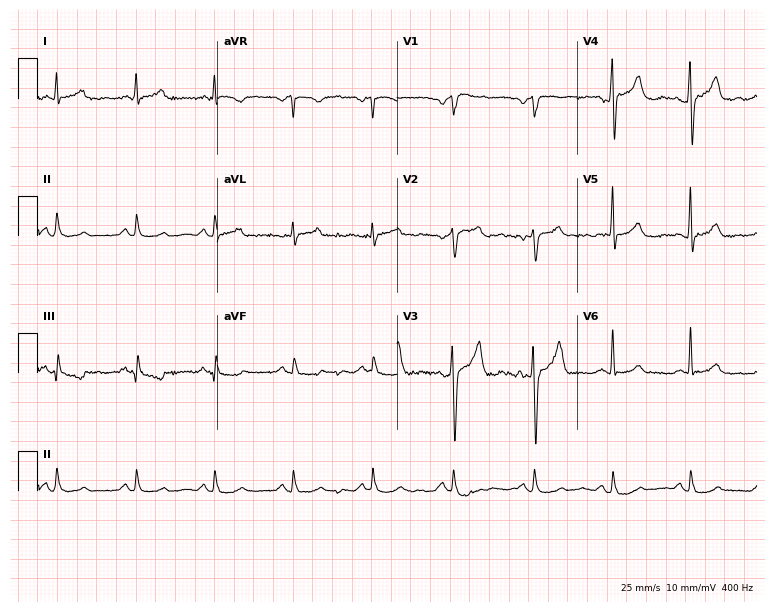
ECG (7.3-second recording at 400 Hz) — a 57-year-old male. Labelled as a normal ECG.